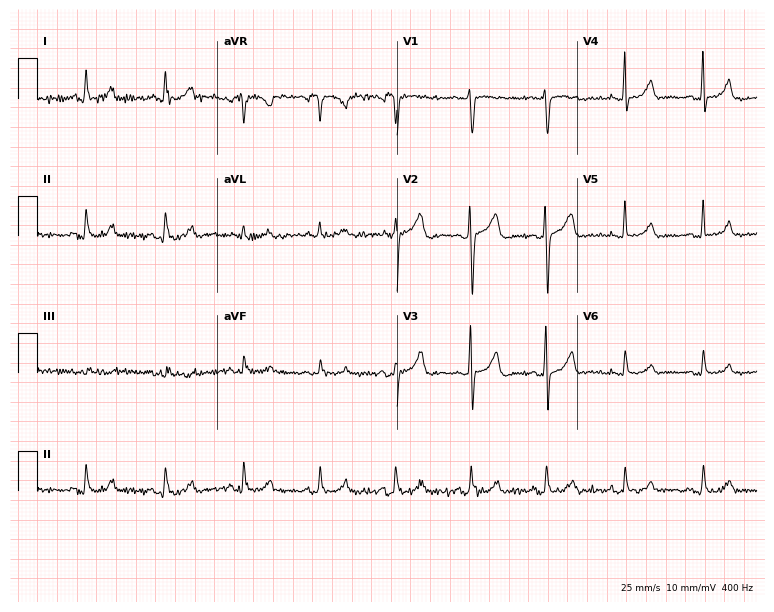
ECG — a 42-year-old female. Screened for six findings — first-degree AV block, right bundle branch block, left bundle branch block, sinus bradycardia, atrial fibrillation, sinus tachycardia — none is recorded. Only these six findings were labelled.